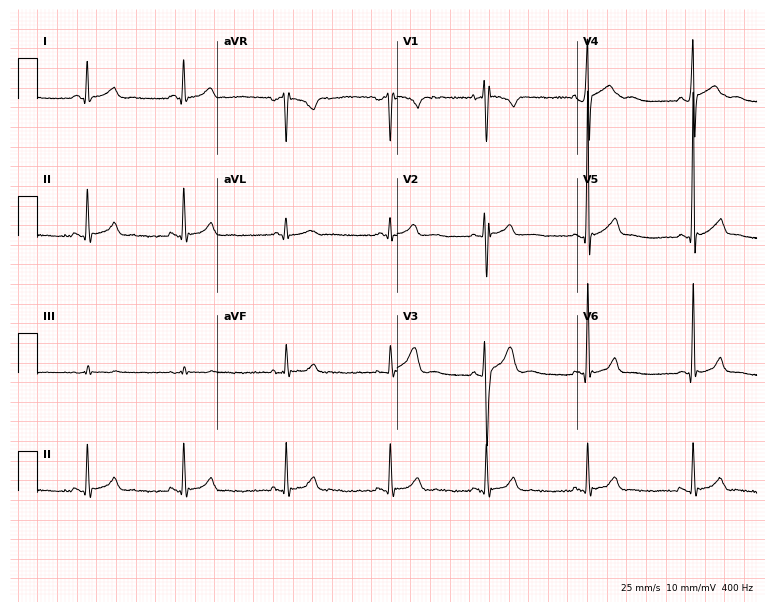
12-lead ECG from an 18-year-old male. Recorded interpretation: within normal limits.